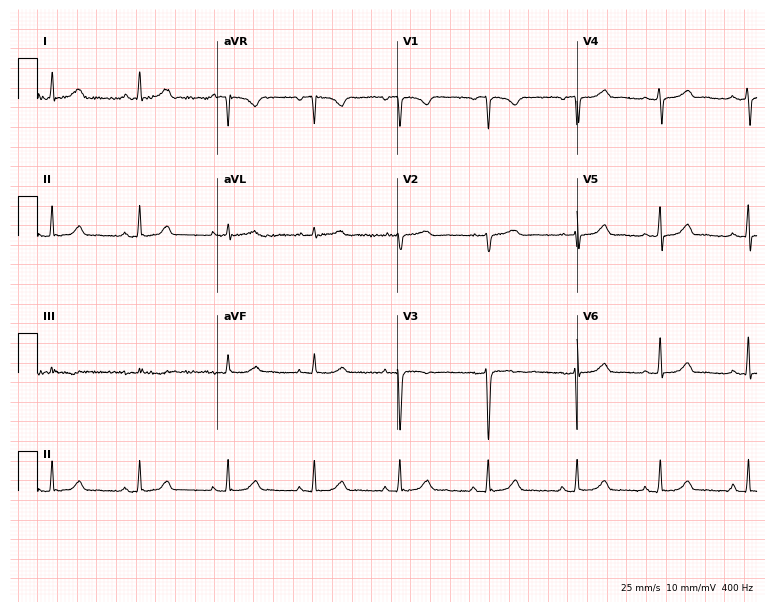
12-lead ECG from a woman, 48 years old. Labelled as a normal ECG.